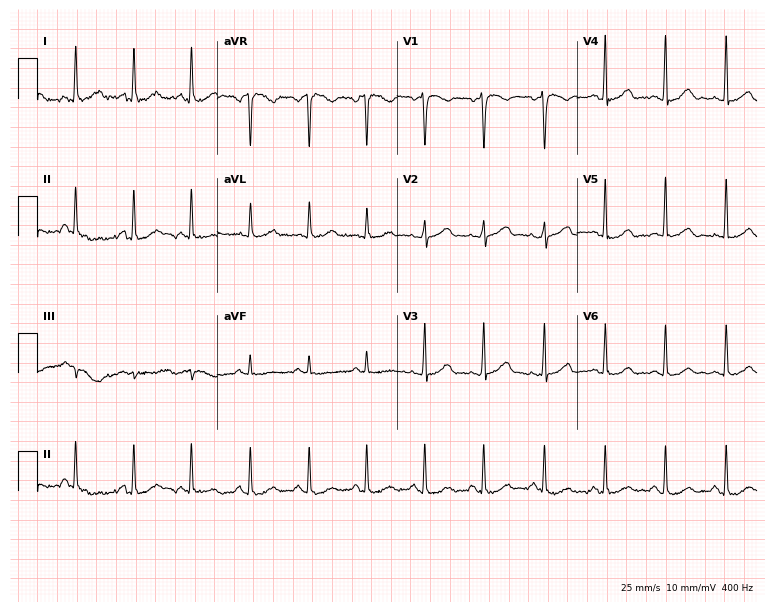
12-lead ECG from a woman, 39 years old. Screened for six findings — first-degree AV block, right bundle branch block, left bundle branch block, sinus bradycardia, atrial fibrillation, sinus tachycardia — none is recorded.